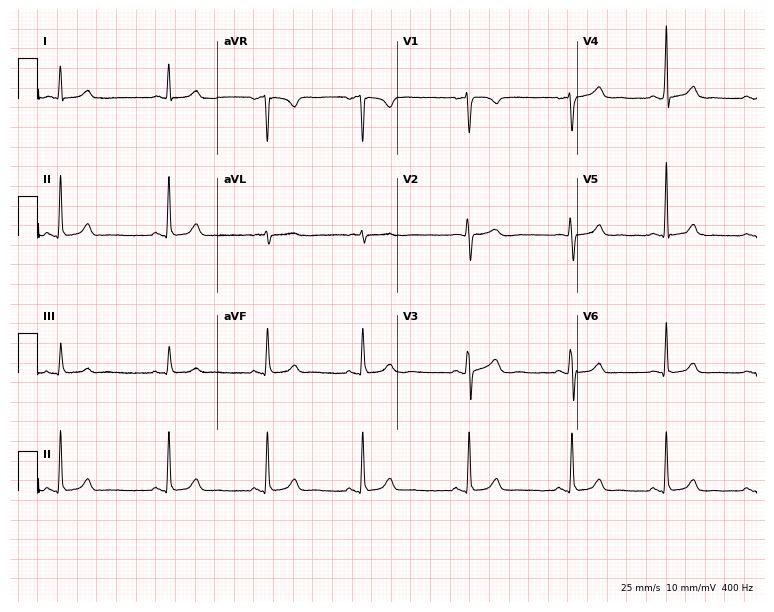
ECG (7.3-second recording at 400 Hz) — a 29-year-old female. Labelled as a normal ECG.